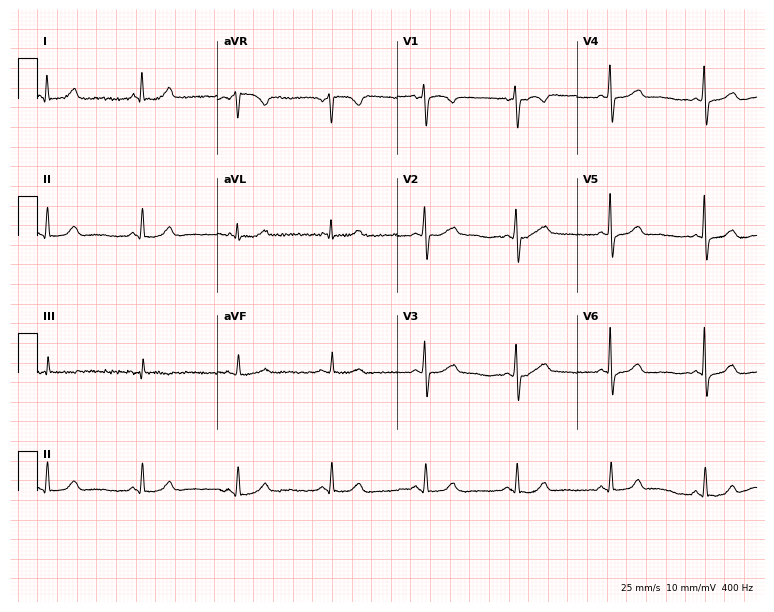
Resting 12-lead electrocardiogram. Patient: a woman, 43 years old. Read as a normal ECG.